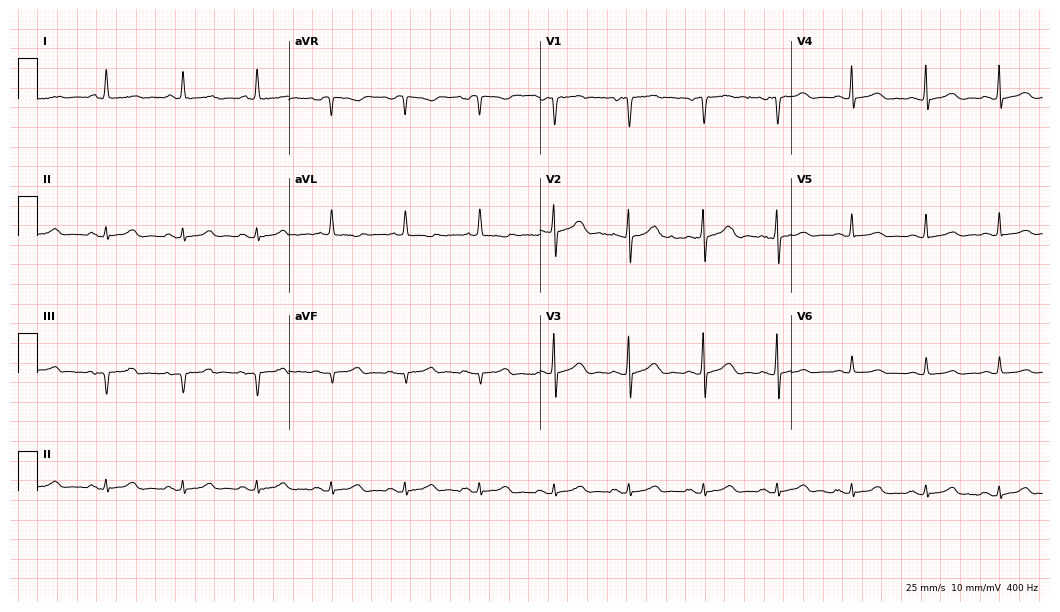
ECG — a female, 79 years old. Screened for six findings — first-degree AV block, right bundle branch block, left bundle branch block, sinus bradycardia, atrial fibrillation, sinus tachycardia — none is recorded. Findings outside these six are not listed.